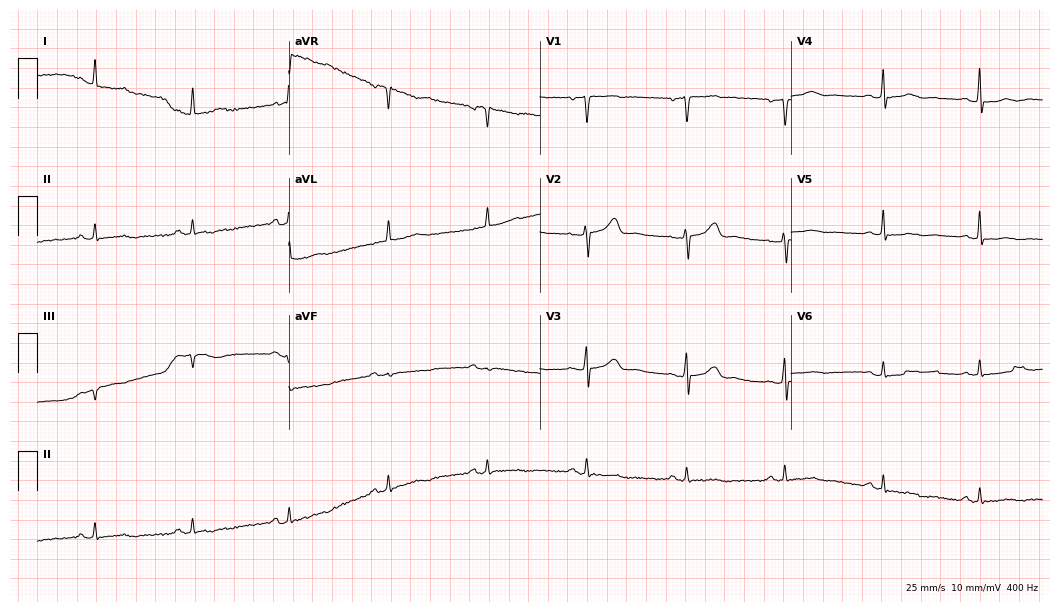
Resting 12-lead electrocardiogram. Patient: a 47-year-old female. None of these six findings is recorded: first-degree AV block, right bundle branch block, left bundle branch block, sinus bradycardia, atrial fibrillation, sinus tachycardia.